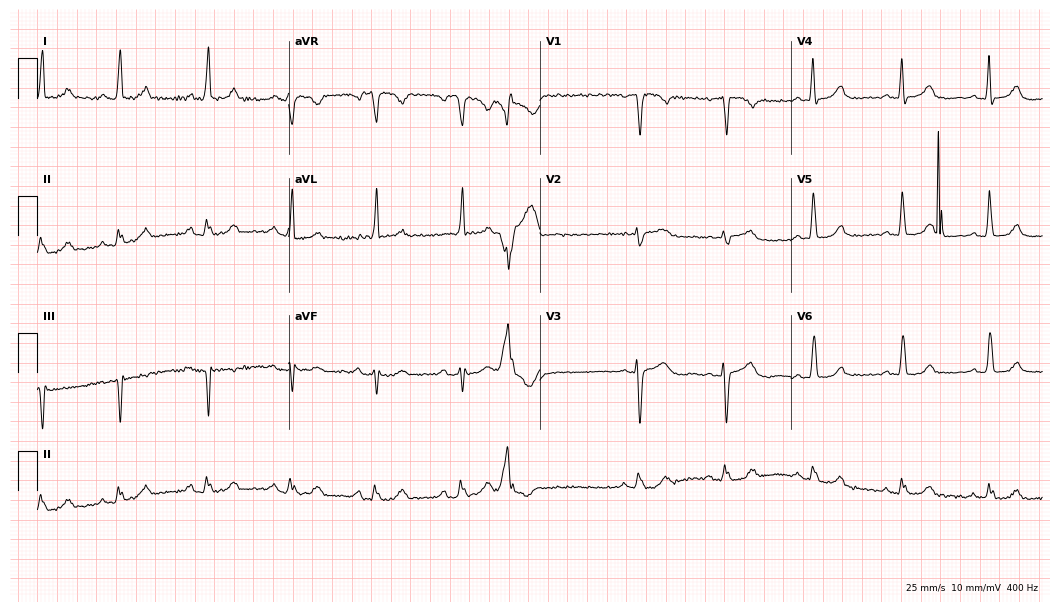
Standard 12-lead ECG recorded from a female patient, 66 years old. None of these six findings is recorded: first-degree AV block, right bundle branch block (RBBB), left bundle branch block (LBBB), sinus bradycardia, atrial fibrillation (AF), sinus tachycardia. Other findings, if any, are not listed.